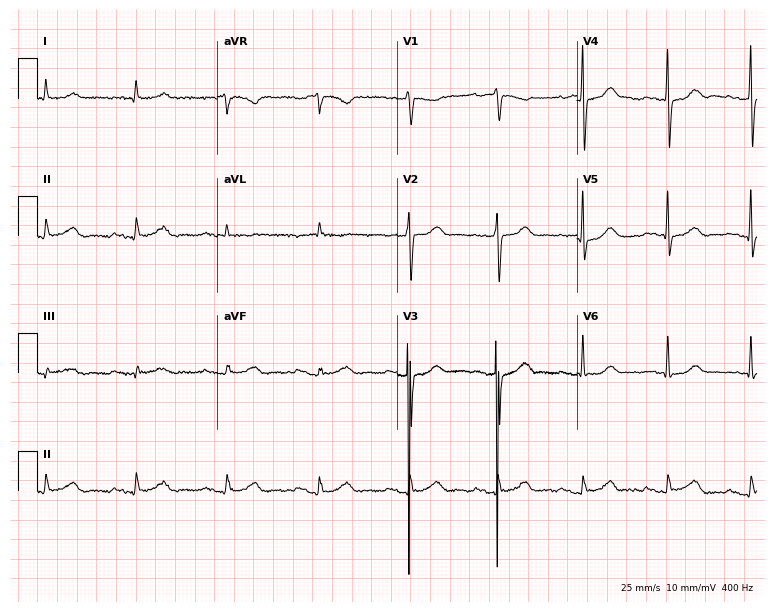
Resting 12-lead electrocardiogram (7.3-second recording at 400 Hz). Patient: a 71-year-old man. None of these six findings is recorded: first-degree AV block, right bundle branch block, left bundle branch block, sinus bradycardia, atrial fibrillation, sinus tachycardia.